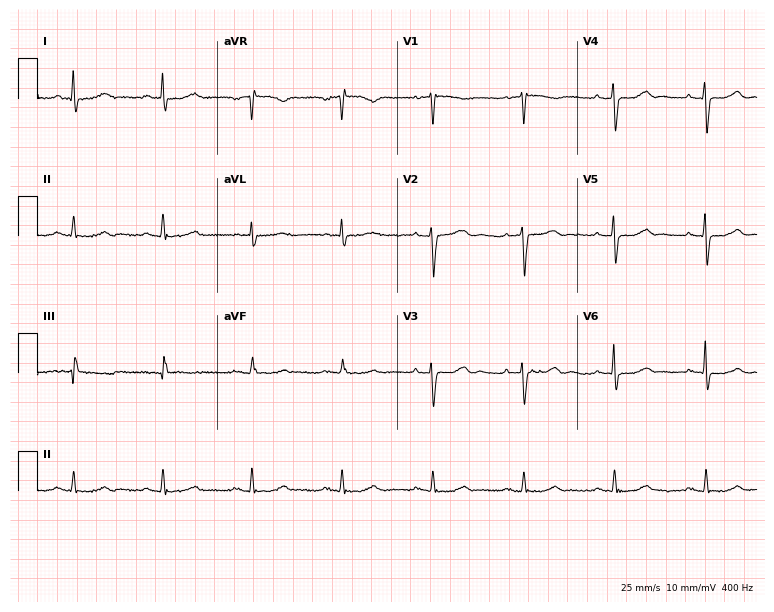
Resting 12-lead electrocardiogram. Patient: a female, 82 years old. Read as a normal ECG.